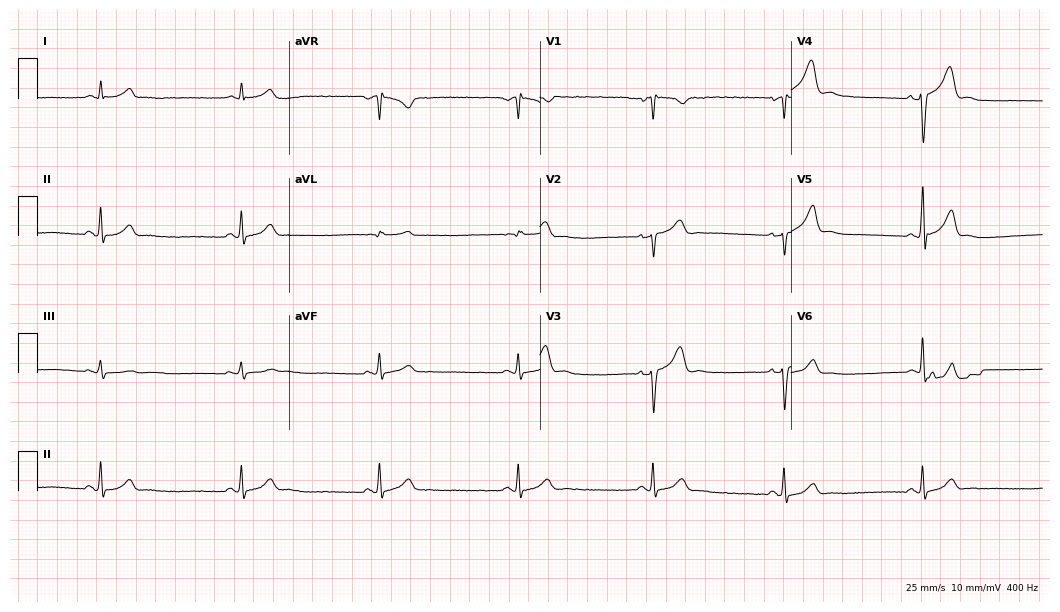
12-lead ECG from a man, 30 years old. Shows sinus bradycardia (a sinus rate of 50 beats per minute or less).